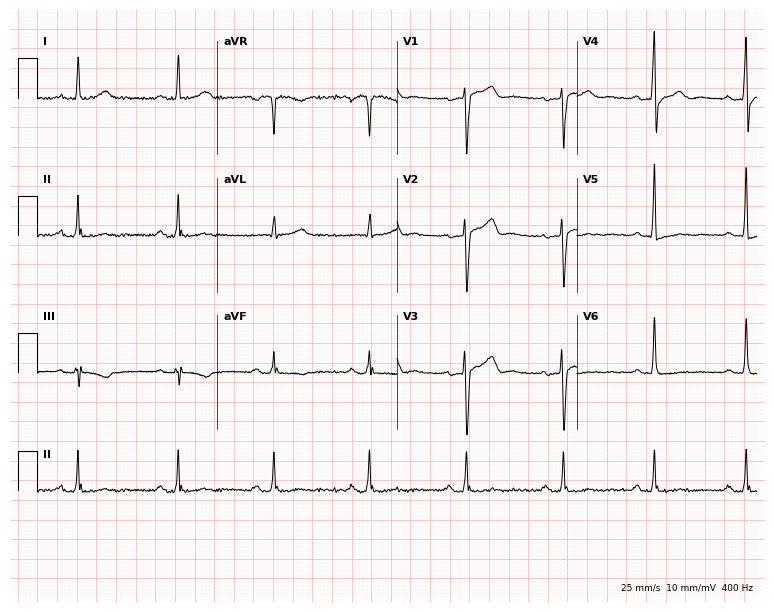
12-lead ECG (7.3-second recording at 400 Hz) from a 35-year-old male patient. Screened for six findings — first-degree AV block, right bundle branch block, left bundle branch block, sinus bradycardia, atrial fibrillation, sinus tachycardia — none is recorded. Only these six findings were labelled.